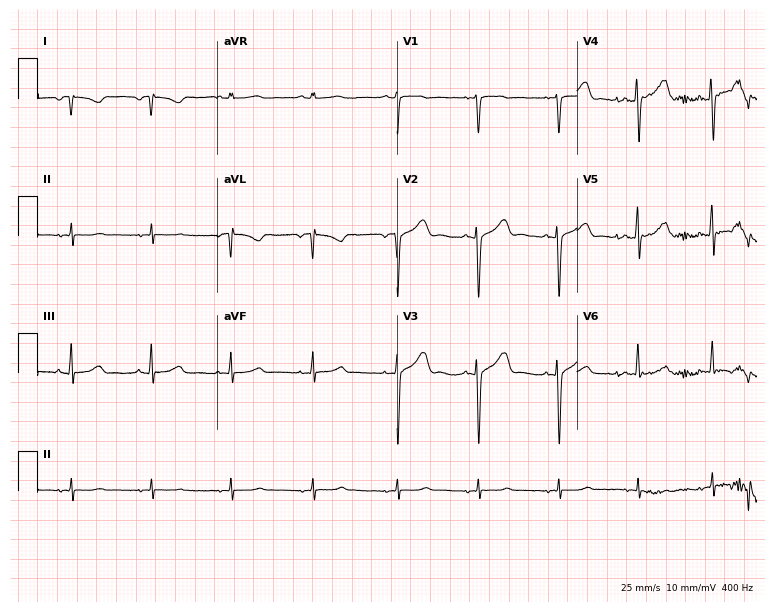
Standard 12-lead ECG recorded from a 19-year-old female (7.3-second recording at 400 Hz). None of these six findings is recorded: first-degree AV block, right bundle branch block, left bundle branch block, sinus bradycardia, atrial fibrillation, sinus tachycardia.